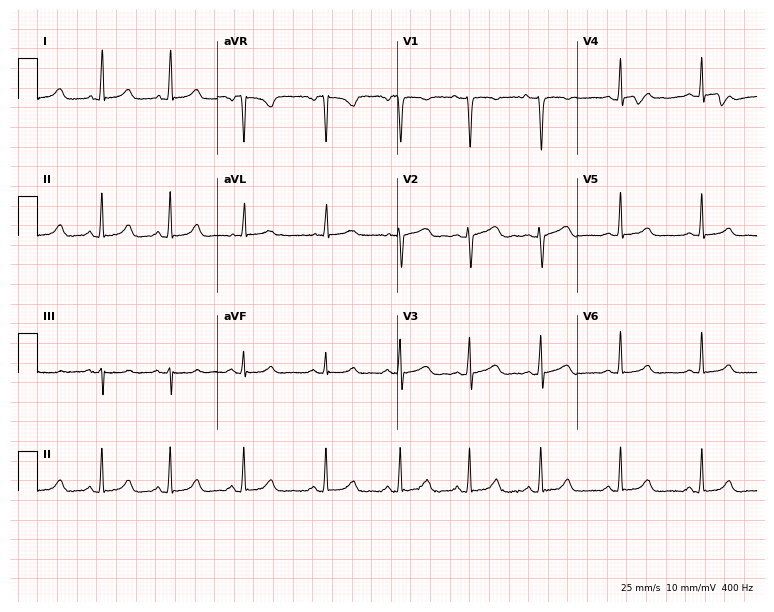
Electrocardiogram, a 27-year-old woman. Of the six screened findings (first-degree AV block, right bundle branch block, left bundle branch block, sinus bradycardia, atrial fibrillation, sinus tachycardia), none is recorded.